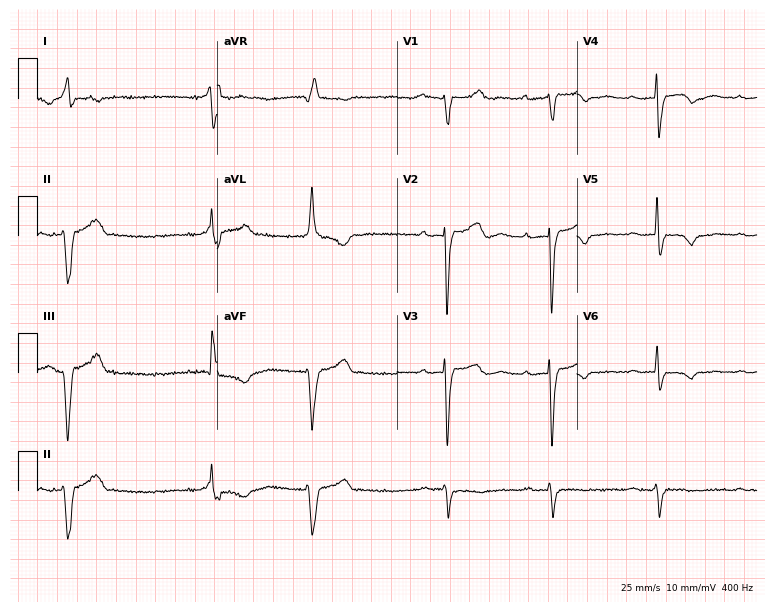
ECG (7.3-second recording at 400 Hz) — a man, 57 years old. Screened for six findings — first-degree AV block, right bundle branch block (RBBB), left bundle branch block (LBBB), sinus bradycardia, atrial fibrillation (AF), sinus tachycardia — none is recorded. Only these six findings were labelled.